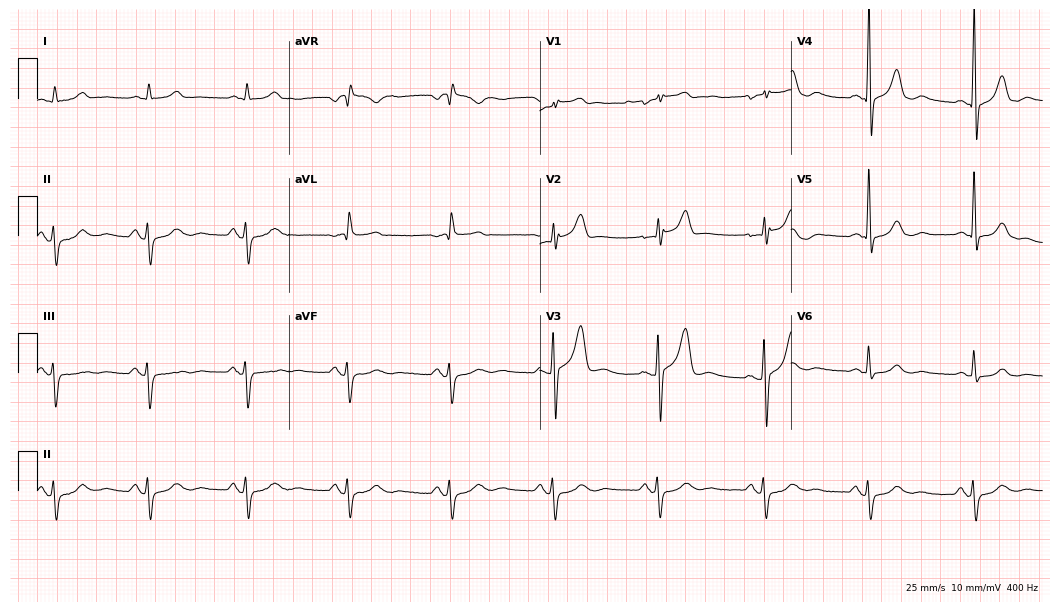
12-lead ECG from a 67-year-old male patient. Screened for six findings — first-degree AV block, right bundle branch block, left bundle branch block, sinus bradycardia, atrial fibrillation, sinus tachycardia — none is recorded. Findings outside these six are not listed.